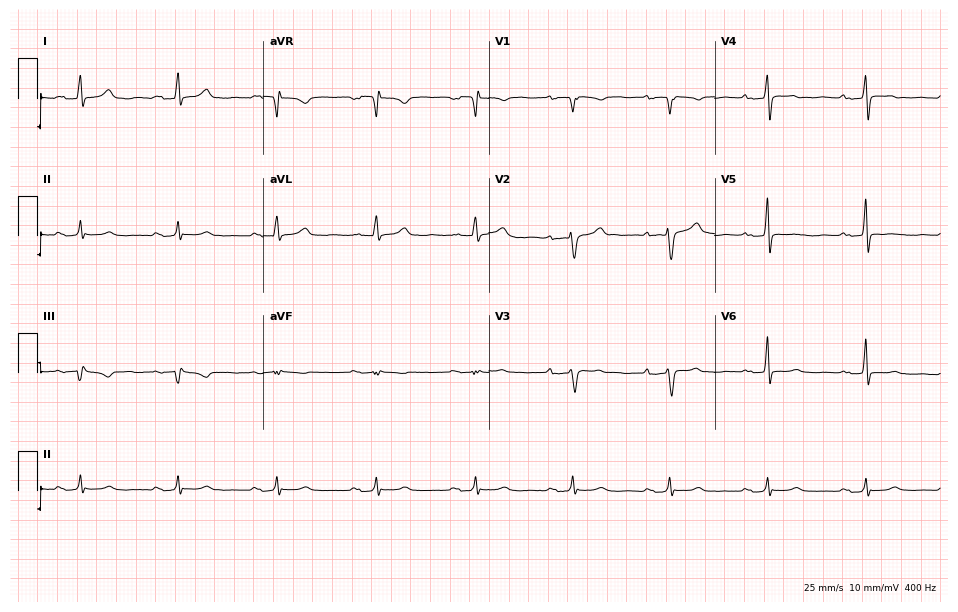
12-lead ECG from a female, 61 years old. Screened for six findings — first-degree AV block, right bundle branch block, left bundle branch block, sinus bradycardia, atrial fibrillation, sinus tachycardia — none is recorded. Only these six findings were labelled.